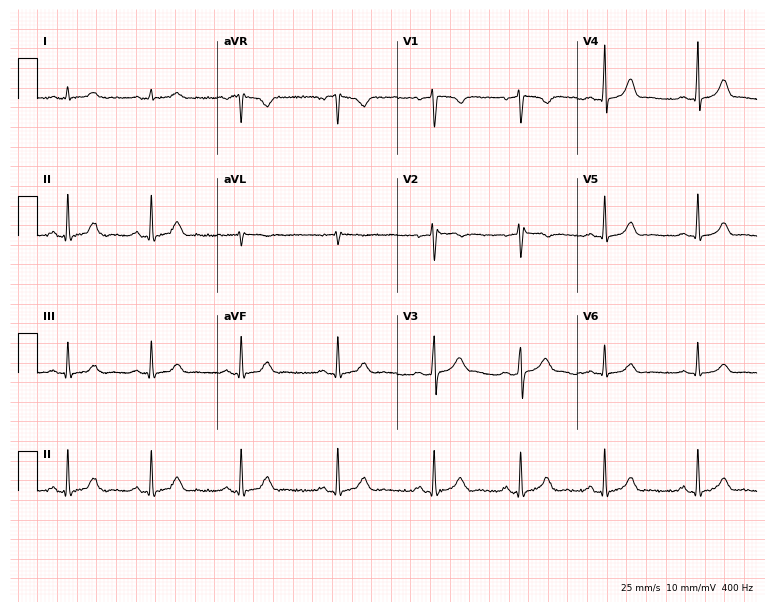
ECG (7.3-second recording at 400 Hz) — a 34-year-old female. Labelled as a normal ECG.